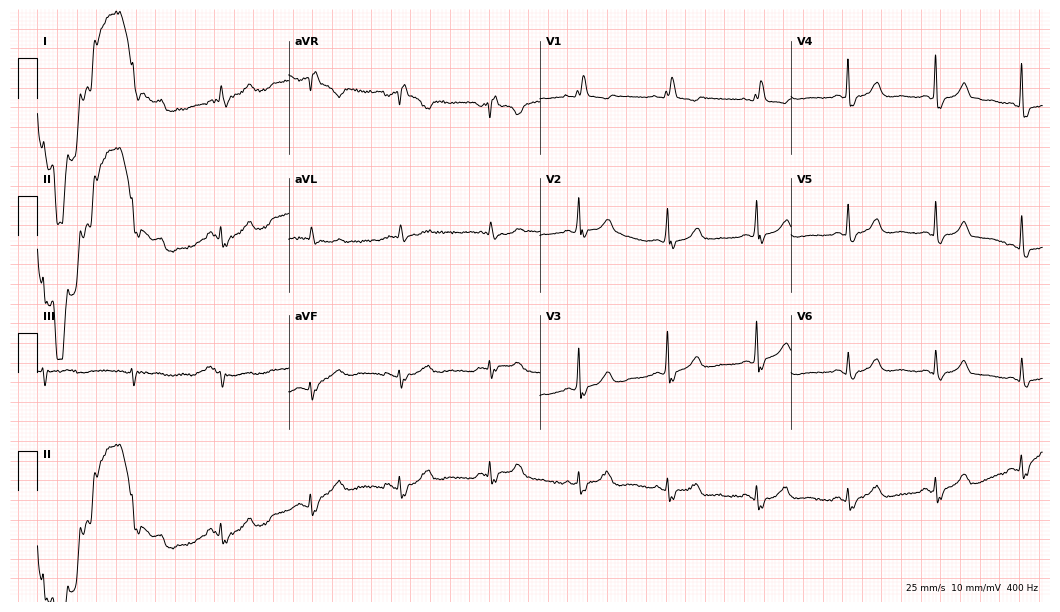
12-lead ECG (10.2-second recording at 400 Hz) from a 70-year-old female. Screened for six findings — first-degree AV block, right bundle branch block, left bundle branch block, sinus bradycardia, atrial fibrillation, sinus tachycardia — none is recorded. Findings outside these six are not listed.